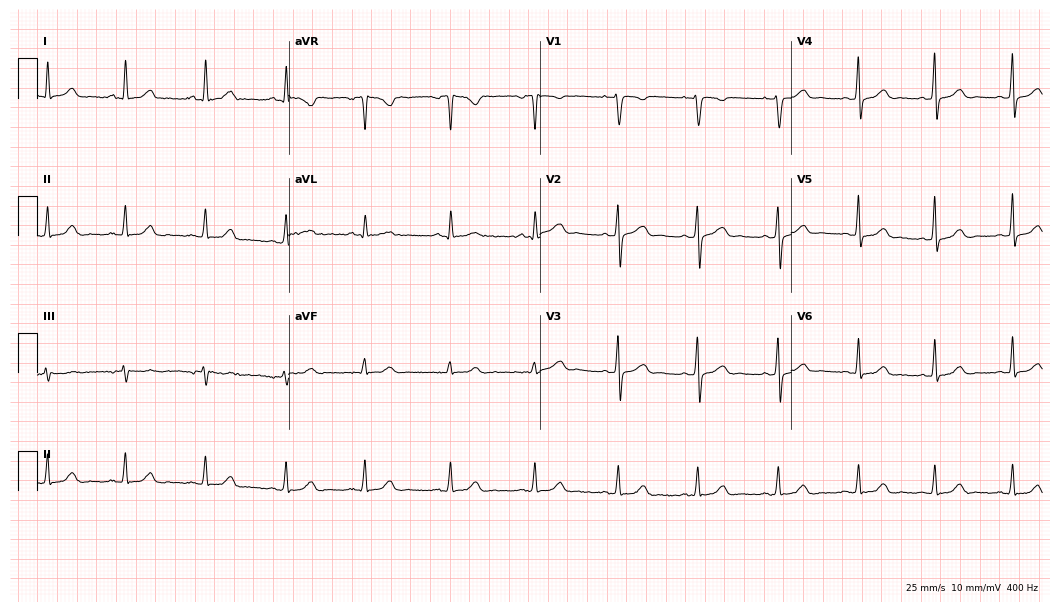
12-lead ECG (10.2-second recording at 400 Hz) from a 38-year-old female. Labelled as a normal ECG.